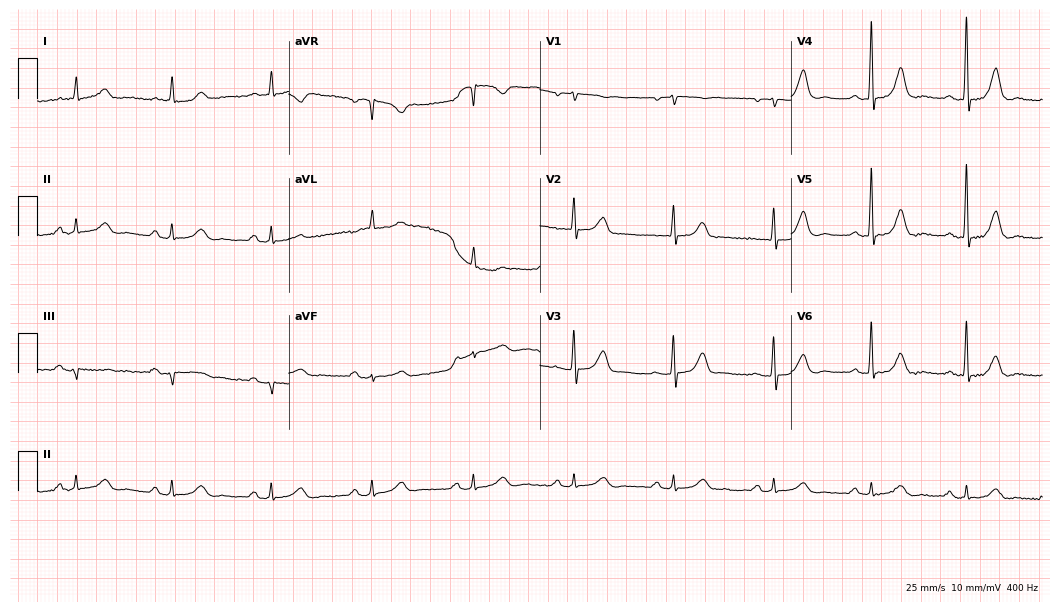
Standard 12-lead ECG recorded from a 69-year-old woman. Read as a normal ECG.